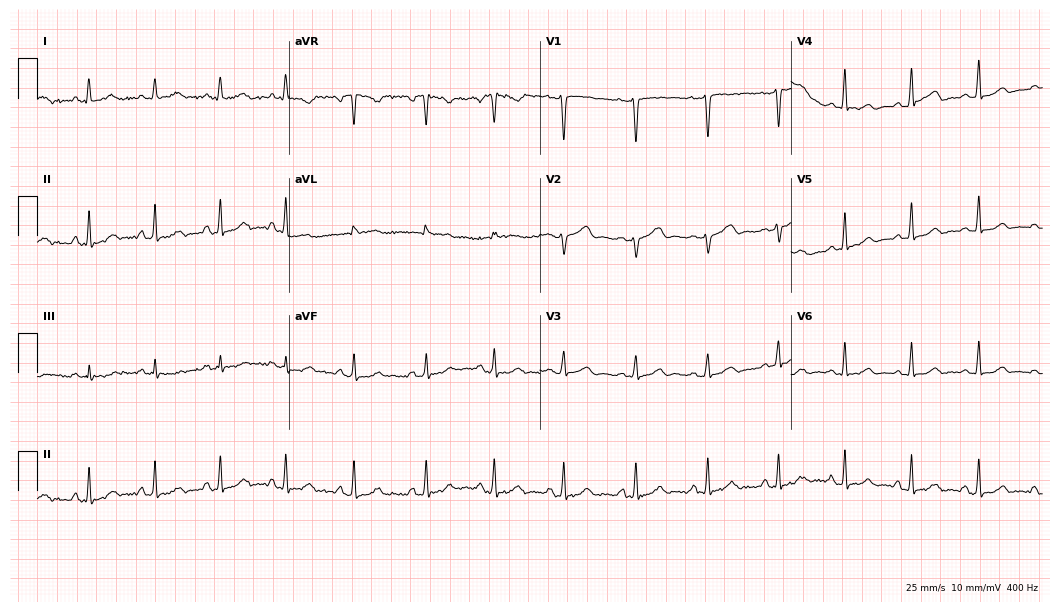
12-lead ECG from a woman, 39 years old. Labelled as a normal ECG.